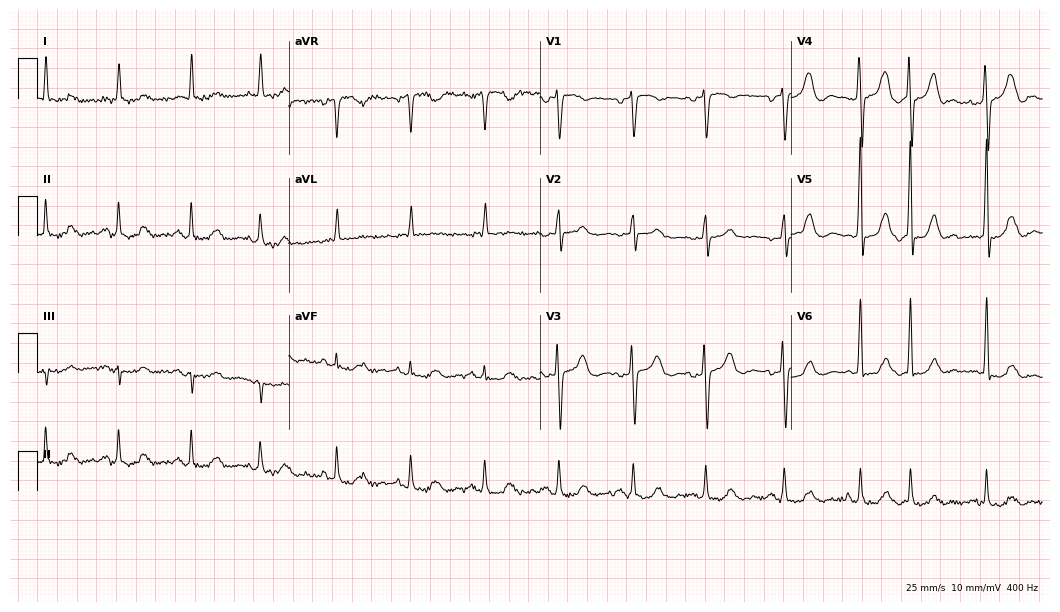
Electrocardiogram, a male, 73 years old. Of the six screened findings (first-degree AV block, right bundle branch block, left bundle branch block, sinus bradycardia, atrial fibrillation, sinus tachycardia), none is recorded.